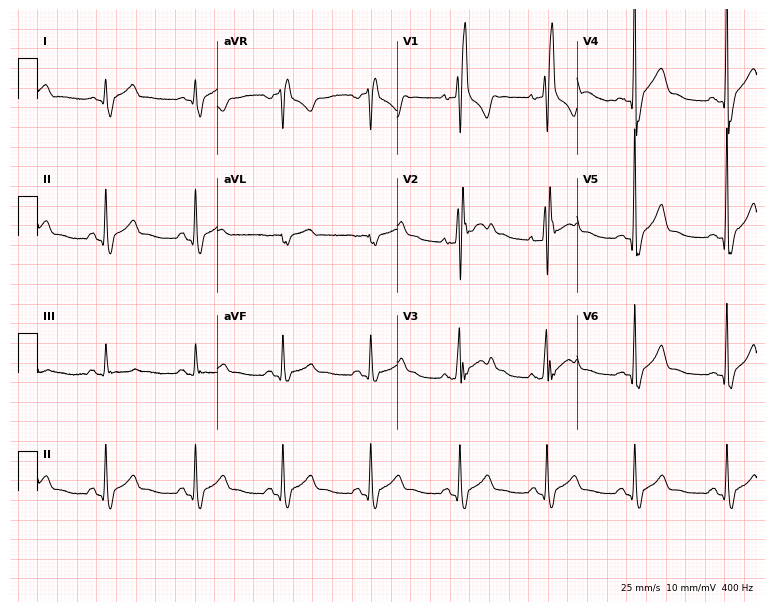
Standard 12-lead ECG recorded from a male patient, 30 years old (7.3-second recording at 400 Hz). The tracing shows right bundle branch block (RBBB).